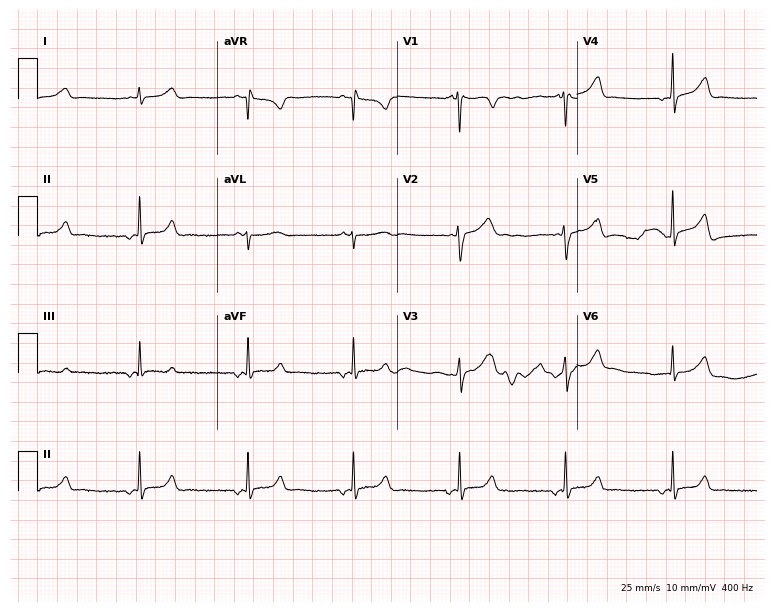
12-lead ECG (7.3-second recording at 400 Hz) from a 24-year-old woman. Screened for six findings — first-degree AV block, right bundle branch block, left bundle branch block, sinus bradycardia, atrial fibrillation, sinus tachycardia — none is recorded.